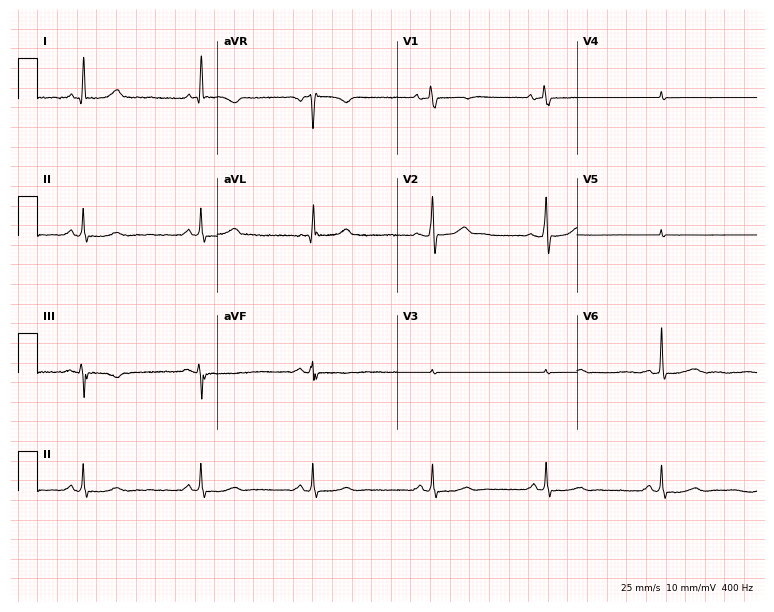
12-lead ECG from a 53-year-old woman (7.3-second recording at 400 Hz). No first-degree AV block, right bundle branch block (RBBB), left bundle branch block (LBBB), sinus bradycardia, atrial fibrillation (AF) or sinus tachycardia recorded for this tracing. Other findings, if any, are not listed.